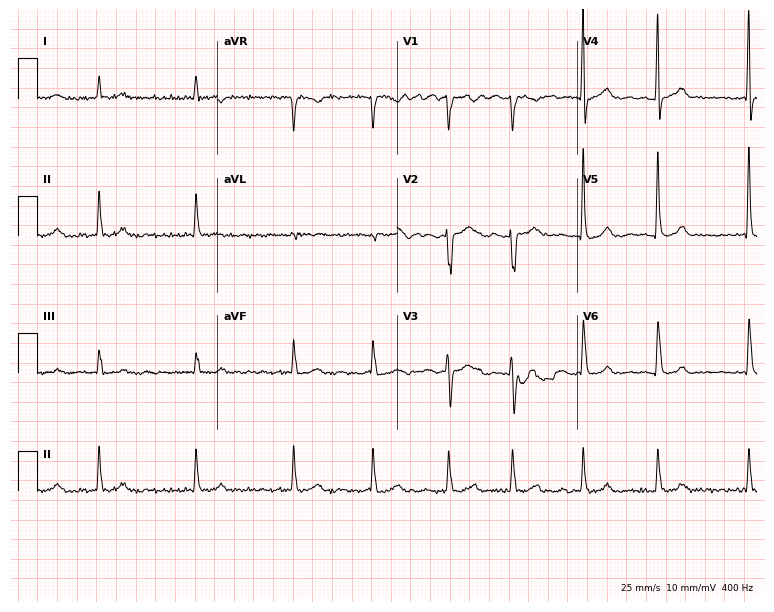
Electrocardiogram, a 74-year-old female patient. Interpretation includes atrial fibrillation.